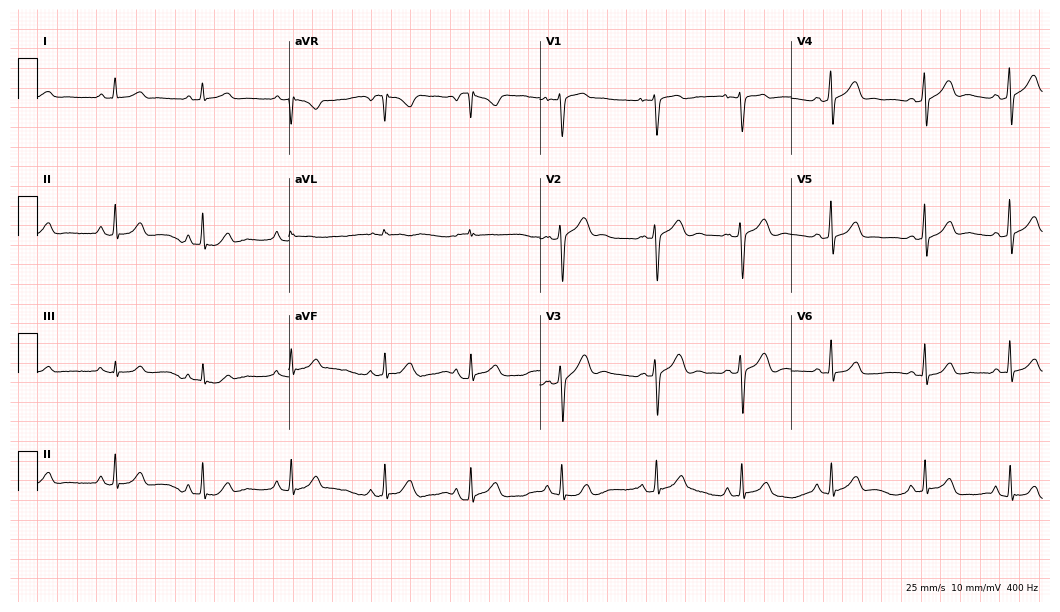
12-lead ECG from a female patient, 25 years old. Labelled as a normal ECG.